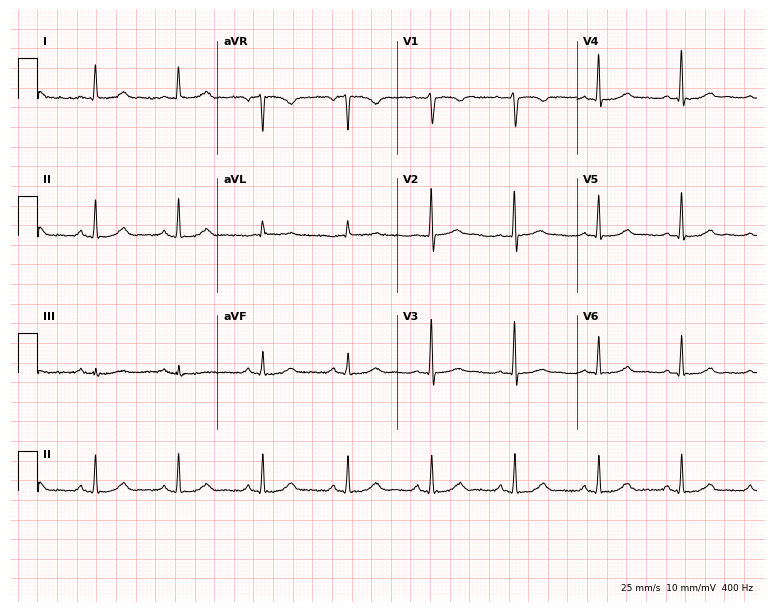
Electrocardiogram (7.3-second recording at 400 Hz), a 52-year-old female. Overall reading on record: normal ECG.